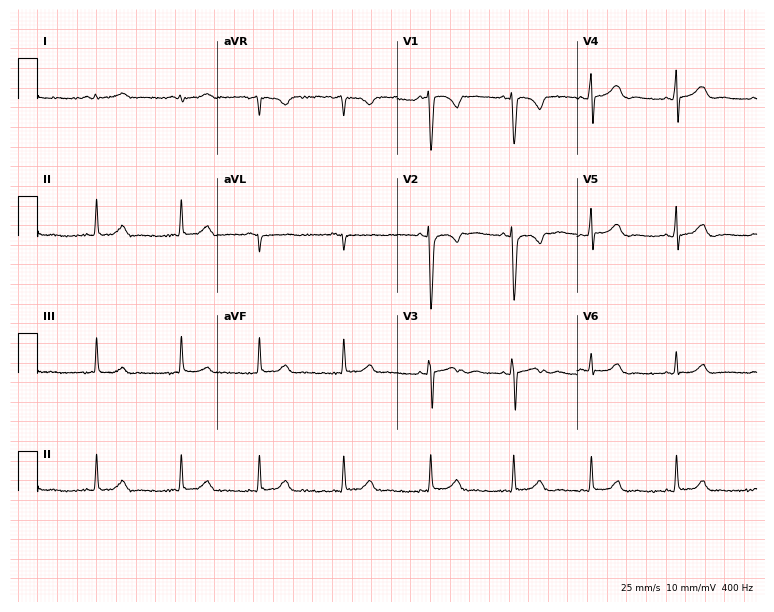
12-lead ECG from a female, 19 years old. Labelled as a normal ECG.